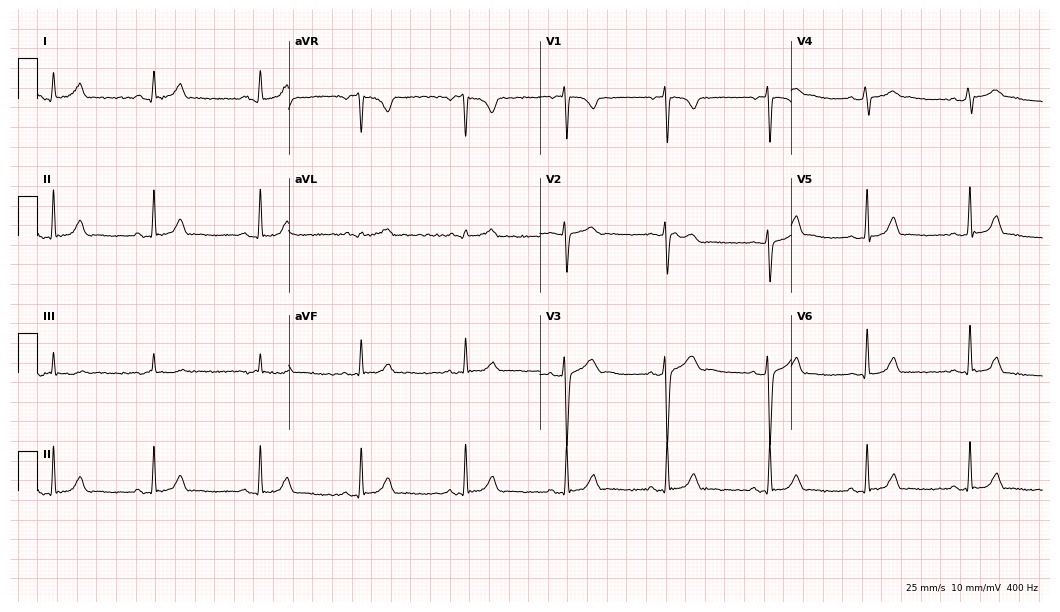
Resting 12-lead electrocardiogram. Patient: a 26-year-old female. Read as a normal ECG.